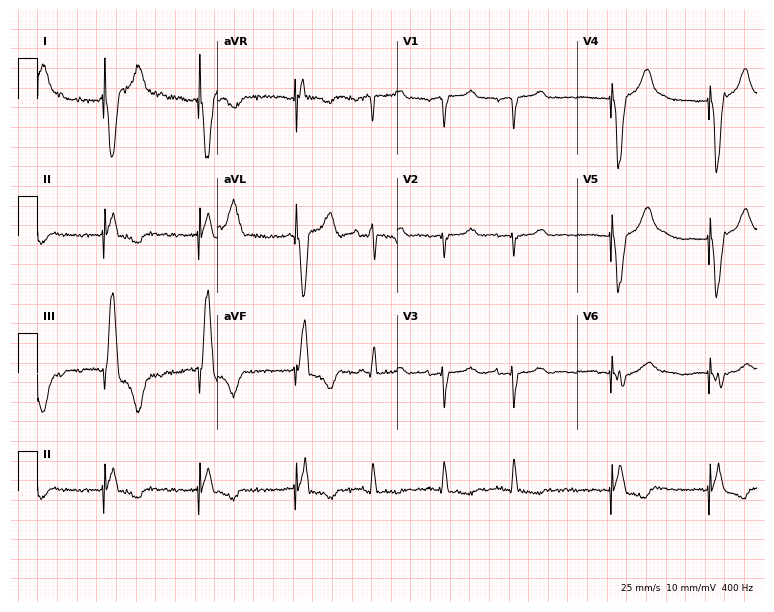
12-lead ECG from a female, 84 years old. No first-degree AV block, right bundle branch block (RBBB), left bundle branch block (LBBB), sinus bradycardia, atrial fibrillation (AF) or sinus tachycardia recorded for this tracing.